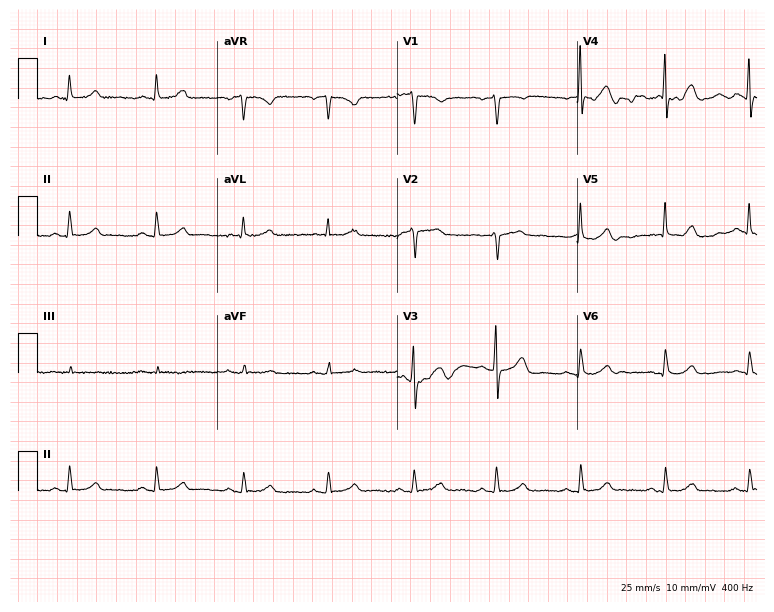
Standard 12-lead ECG recorded from a female patient, 48 years old (7.3-second recording at 400 Hz). None of these six findings is recorded: first-degree AV block, right bundle branch block (RBBB), left bundle branch block (LBBB), sinus bradycardia, atrial fibrillation (AF), sinus tachycardia.